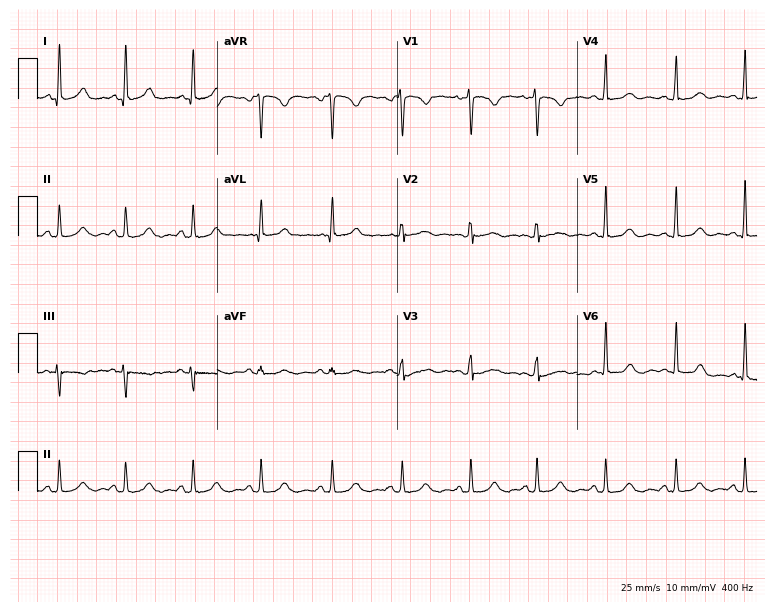
Resting 12-lead electrocardiogram. Patient: a woman, 54 years old. Read as a normal ECG.